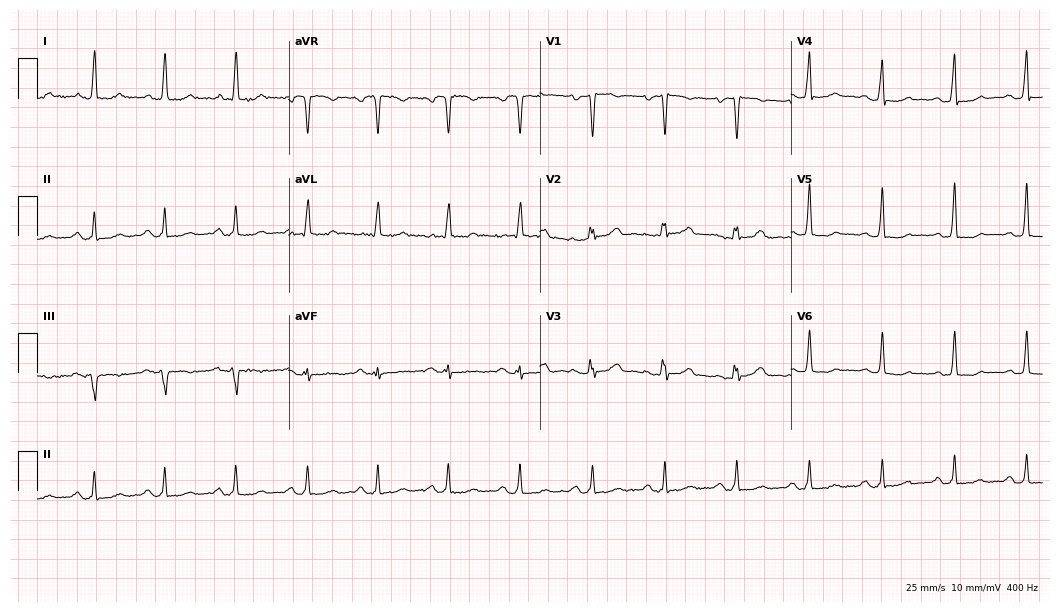
12-lead ECG from a woman, 55 years old (10.2-second recording at 400 Hz). No first-degree AV block, right bundle branch block (RBBB), left bundle branch block (LBBB), sinus bradycardia, atrial fibrillation (AF) or sinus tachycardia recorded for this tracing. Findings outside these six are not listed.